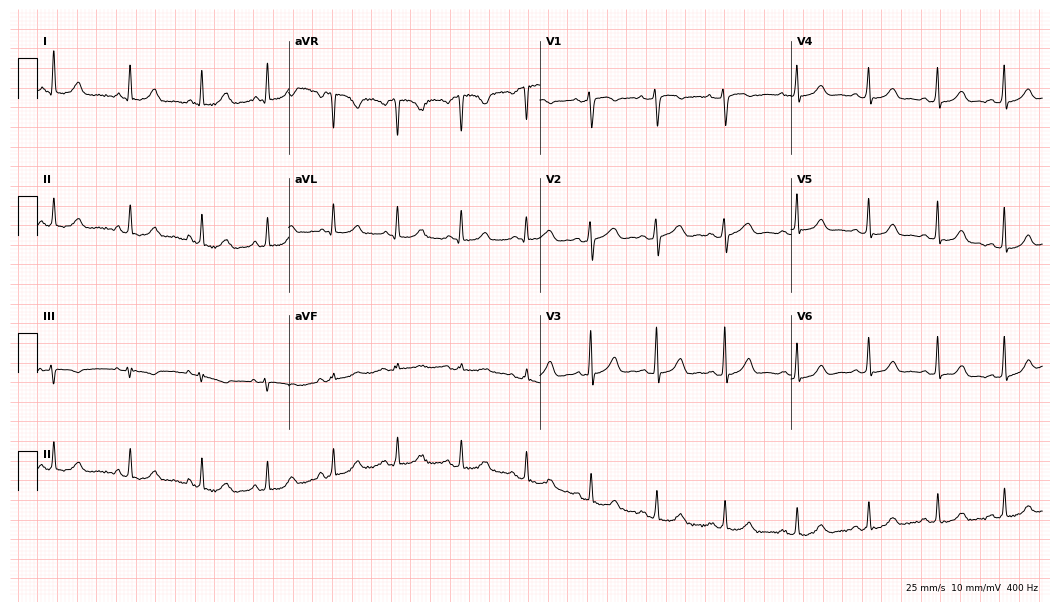
ECG (10.2-second recording at 400 Hz) — a 43-year-old female. Labelled as a normal ECG.